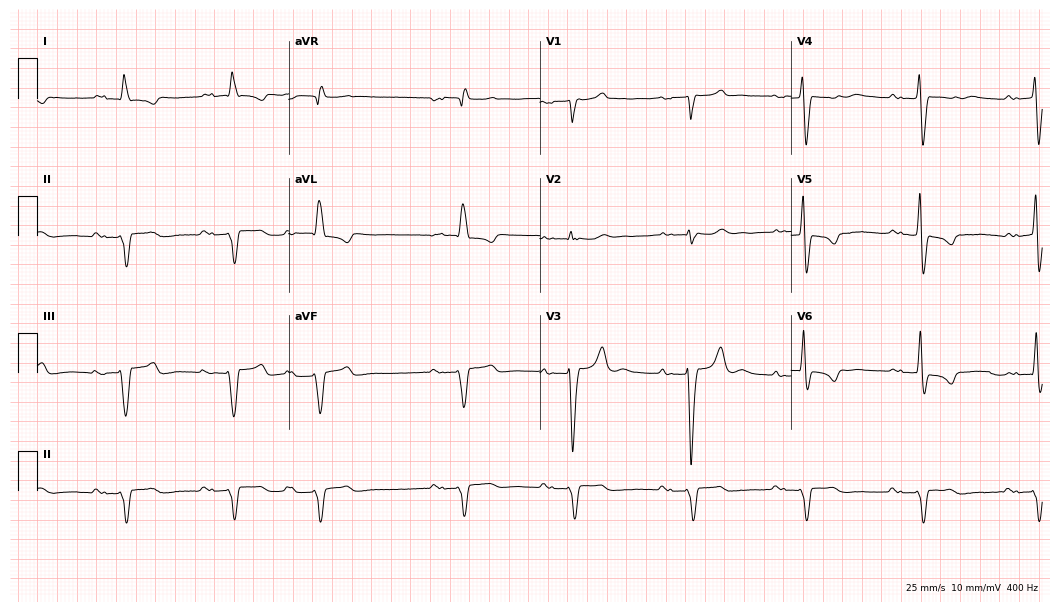
Electrocardiogram, a 74-year-old male. Interpretation includes first-degree AV block.